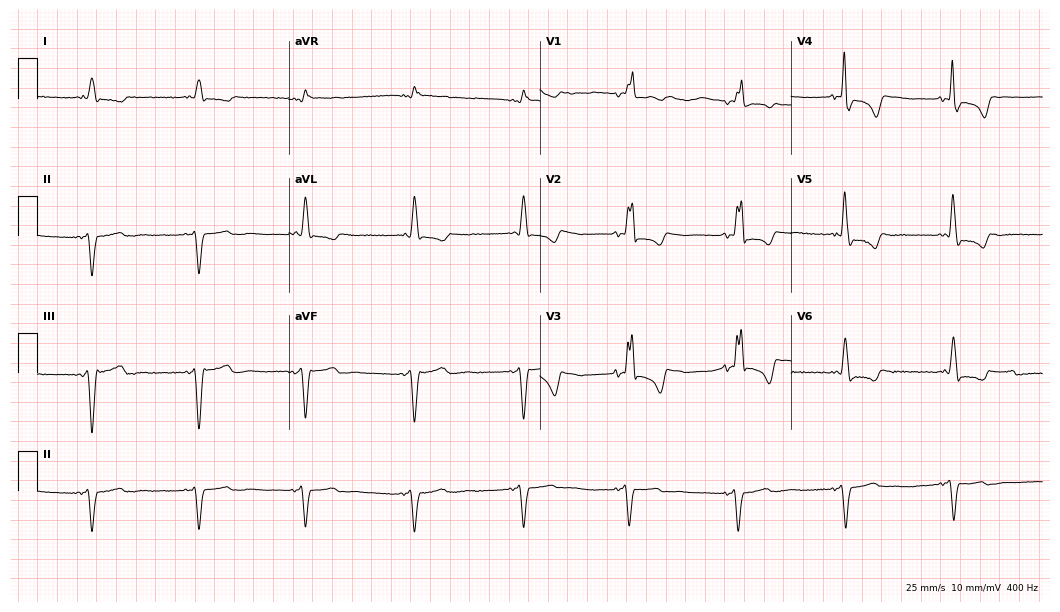
12-lead ECG from a male patient, 68 years old. No first-degree AV block, right bundle branch block, left bundle branch block, sinus bradycardia, atrial fibrillation or sinus tachycardia recorded for this tracing. Other findings, if any, are not listed.